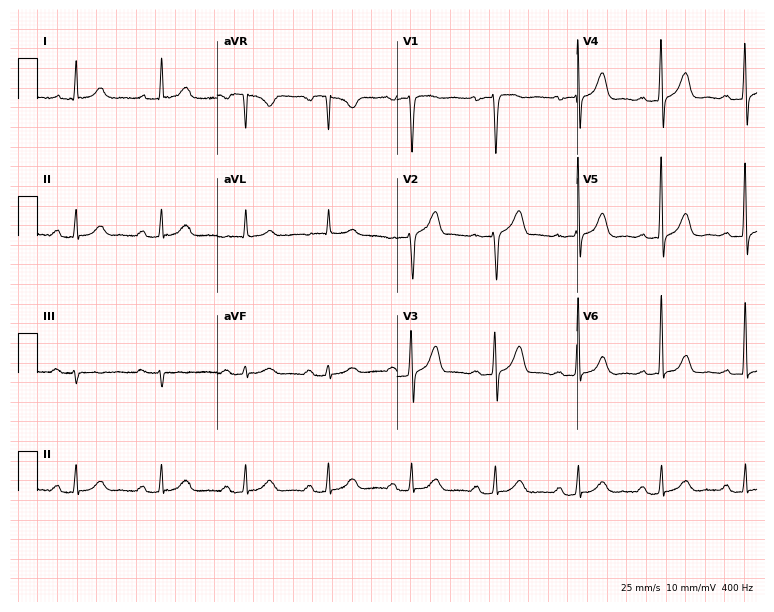
Electrocardiogram (7.3-second recording at 400 Hz), a 63-year-old male patient. Overall reading on record: normal ECG.